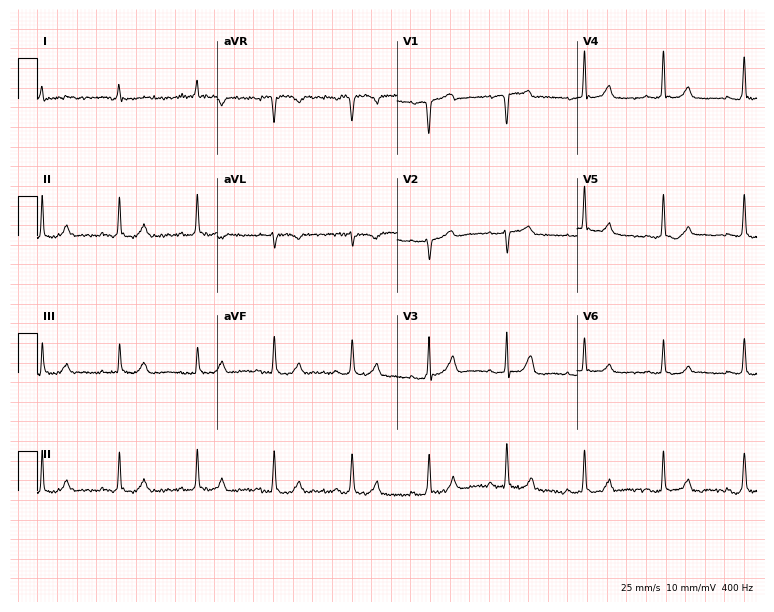
ECG (7.3-second recording at 400 Hz) — a 74-year-old male patient. Screened for six findings — first-degree AV block, right bundle branch block, left bundle branch block, sinus bradycardia, atrial fibrillation, sinus tachycardia — none is recorded. Findings outside these six are not listed.